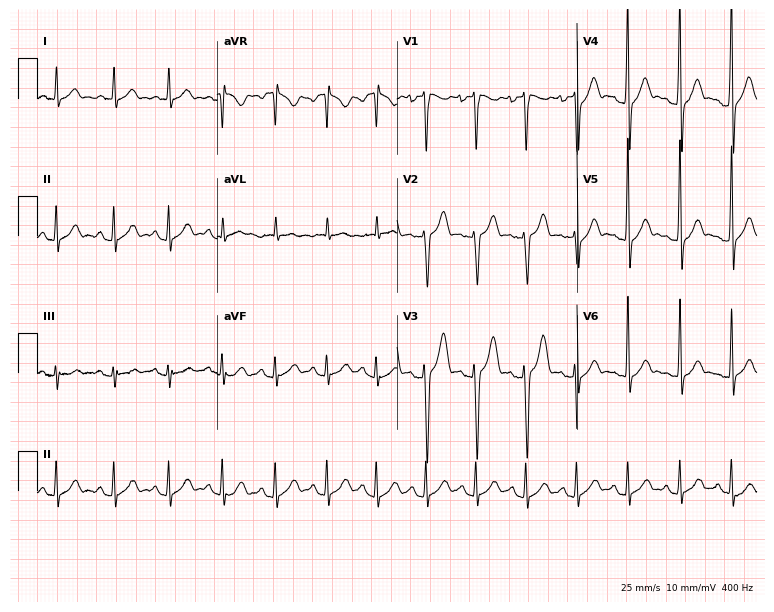
12-lead ECG from a 22-year-old man. Findings include sinus tachycardia (a sinus rate of 100 beats per minute or more).